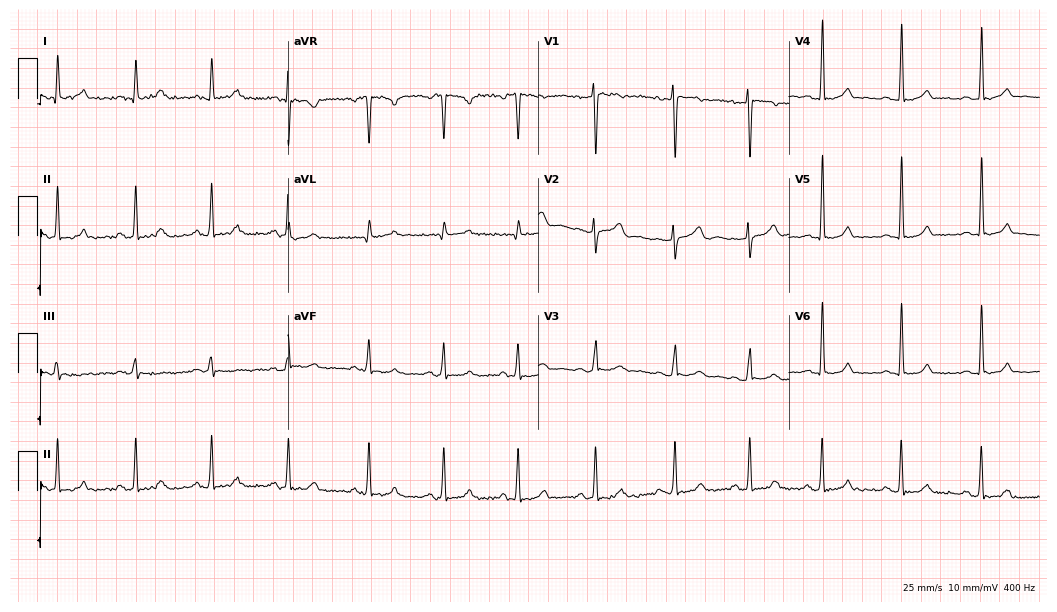
12-lead ECG from a 40-year-old female patient (10.2-second recording at 400 Hz). Recorded interpretation: within normal limits.